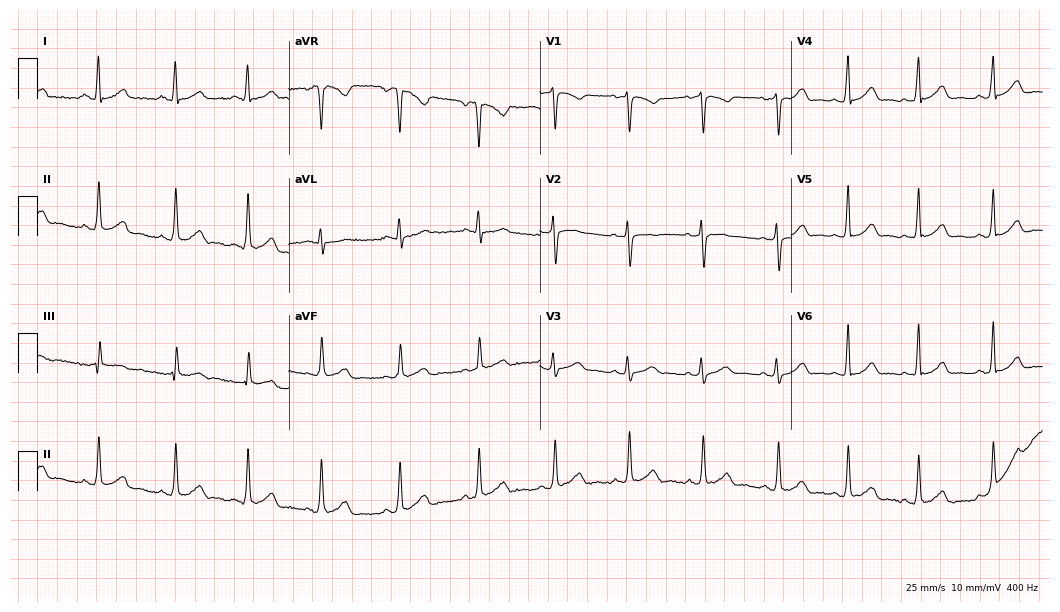
ECG — a 19-year-old woman. Screened for six findings — first-degree AV block, right bundle branch block, left bundle branch block, sinus bradycardia, atrial fibrillation, sinus tachycardia — none is recorded. Only these six findings were labelled.